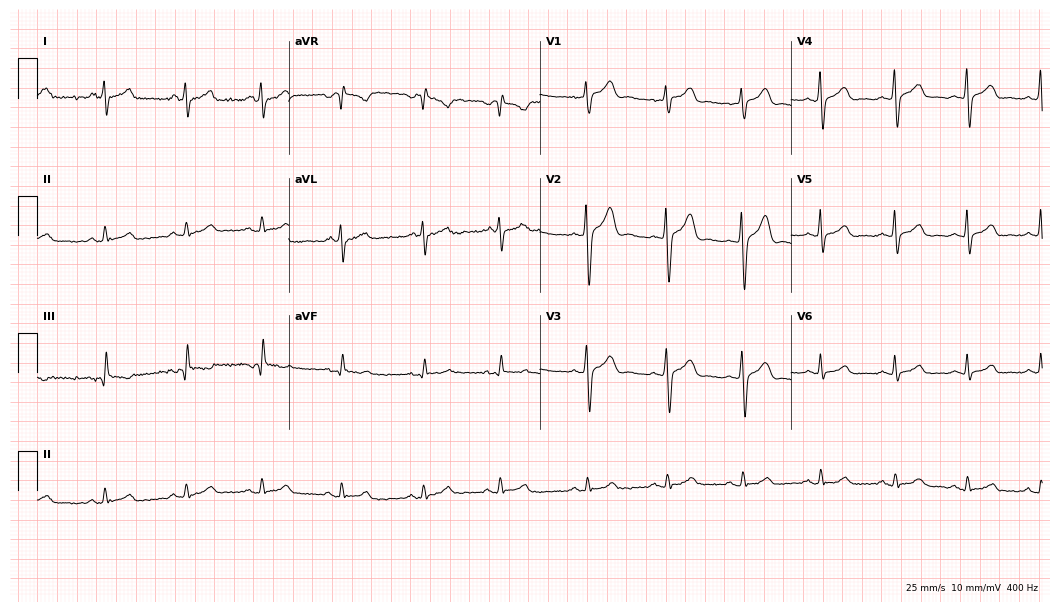
Electrocardiogram (10.2-second recording at 400 Hz), a 25-year-old male patient. Of the six screened findings (first-degree AV block, right bundle branch block (RBBB), left bundle branch block (LBBB), sinus bradycardia, atrial fibrillation (AF), sinus tachycardia), none is recorded. Other findings, if any, are not listed.